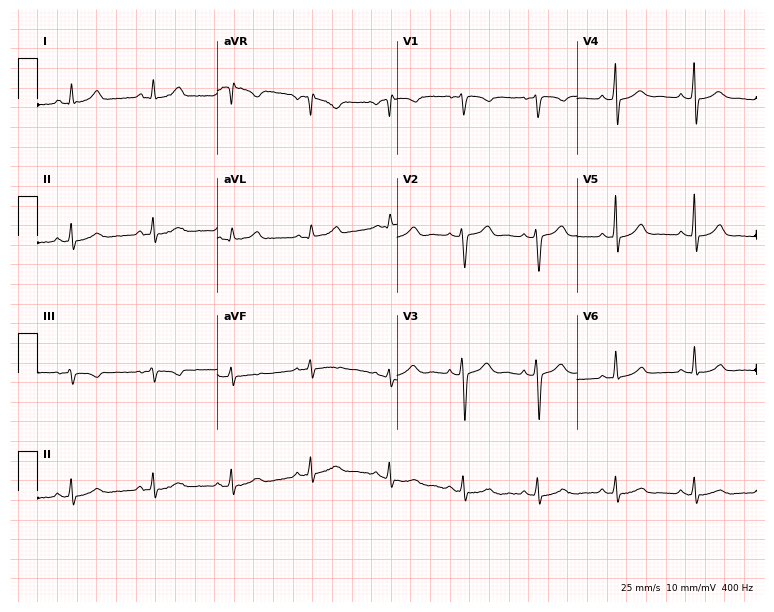
12-lead ECG from a 24-year-old female. Screened for six findings — first-degree AV block, right bundle branch block, left bundle branch block, sinus bradycardia, atrial fibrillation, sinus tachycardia — none is recorded. Other findings, if any, are not listed.